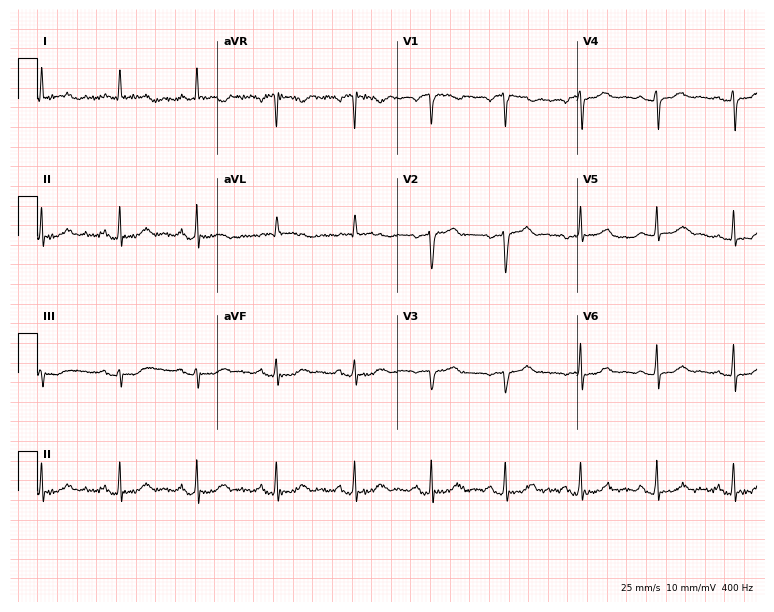
12-lead ECG from a female, 61 years old. Labelled as a normal ECG.